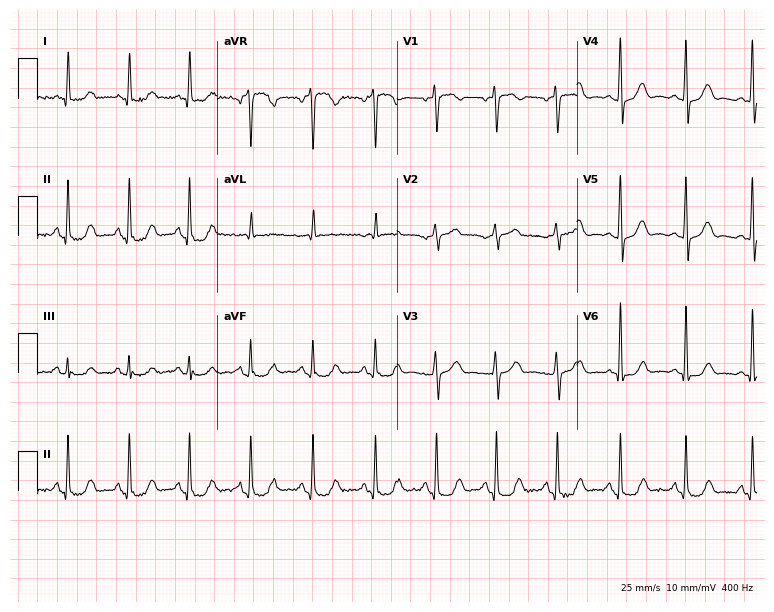
Standard 12-lead ECG recorded from a female patient, 57 years old. Read as a normal ECG.